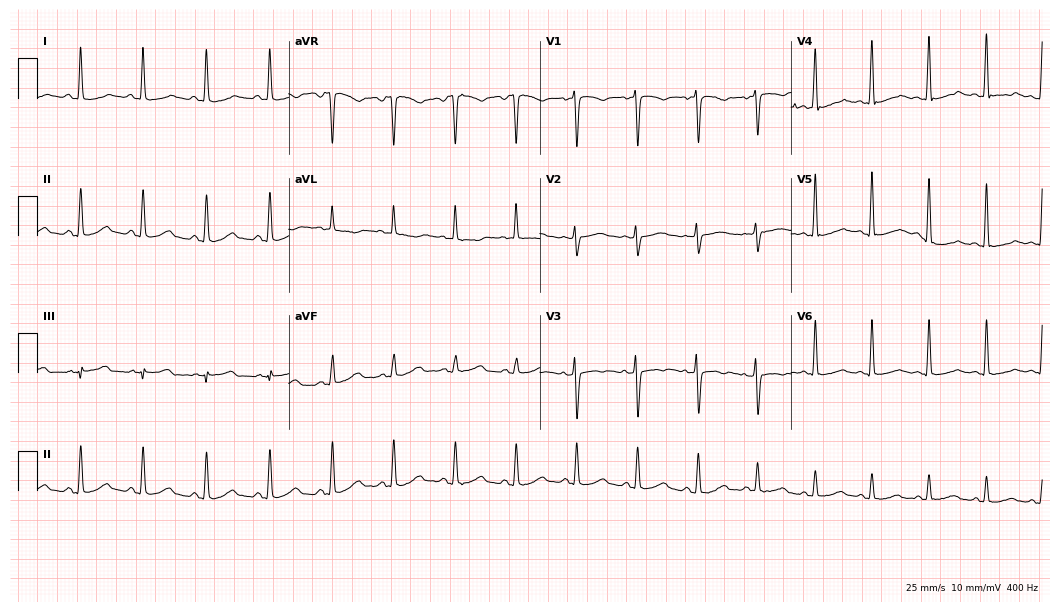
ECG — a female, 30 years old. Screened for six findings — first-degree AV block, right bundle branch block, left bundle branch block, sinus bradycardia, atrial fibrillation, sinus tachycardia — none is recorded.